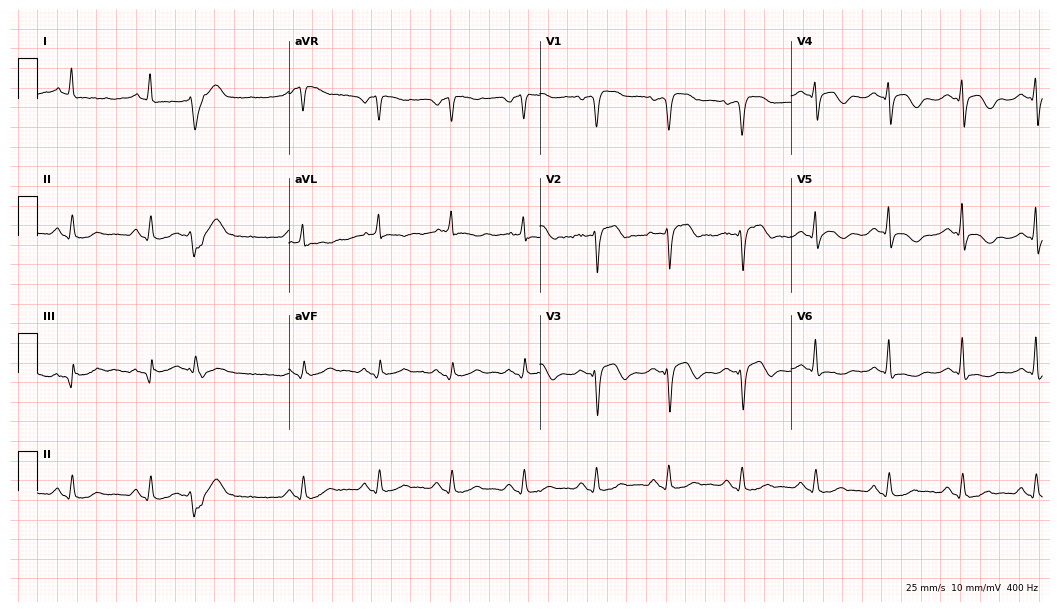
Resting 12-lead electrocardiogram (10.2-second recording at 400 Hz). Patient: a 60-year-old man. None of these six findings is recorded: first-degree AV block, right bundle branch block, left bundle branch block, sinus bradycardia, atrial fibrillation, sinus tachycardia.